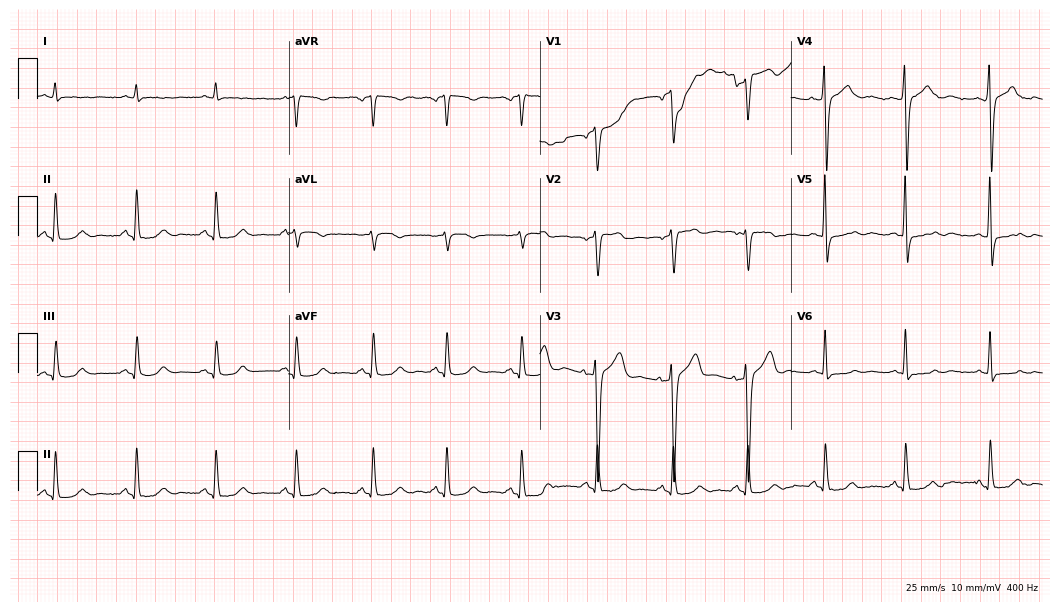
Electrocardiogram, a 54-year-old male. Of the six screened findings (first-degree AV block, right bundle branch block, left bundle branch block, sinus bradycardia, atrial fibrillation, sinus tachycardia), none is recorded.